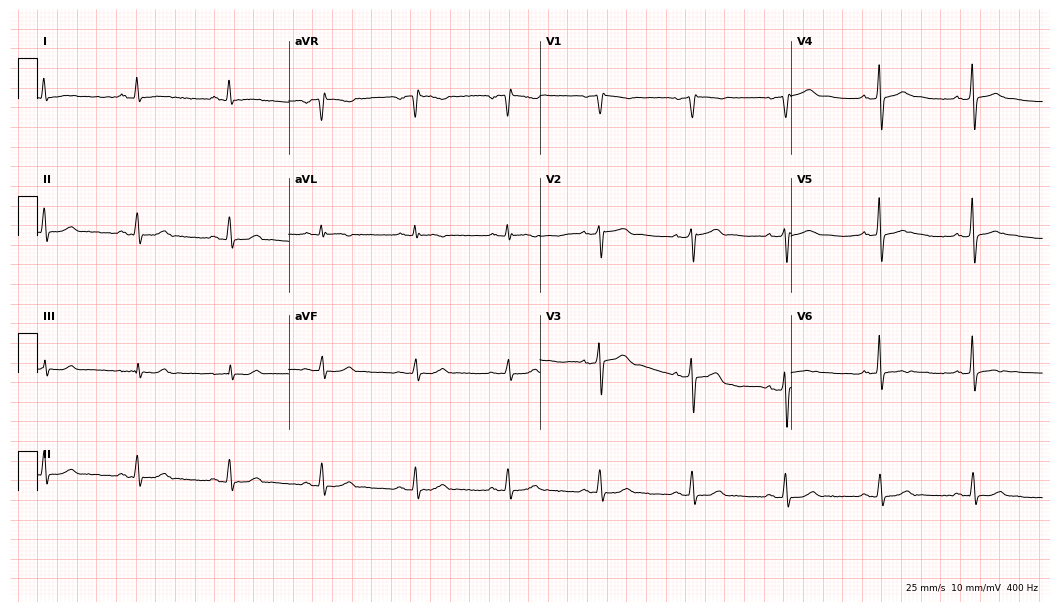
Standard 12-lead ECG recorded from a man, 63 years old (10.2-second recording at 400 Hz). Read as a normal ECG.